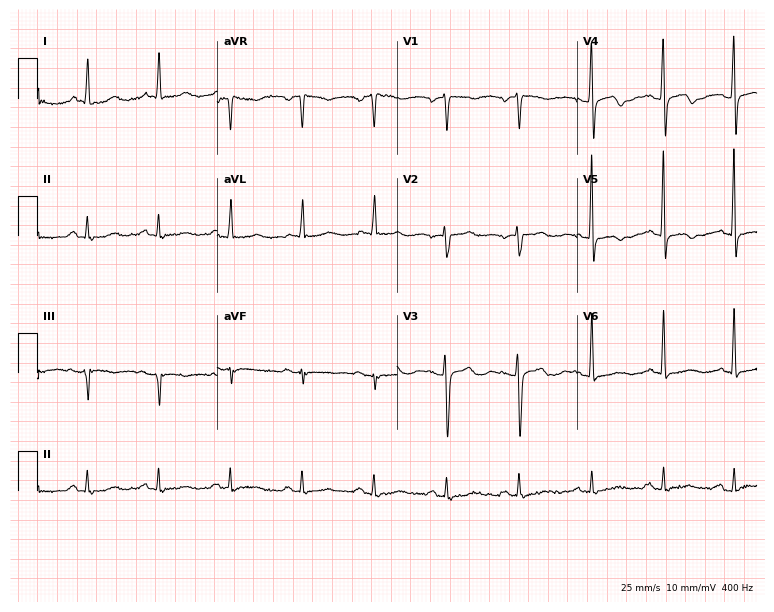
ECG (7.3-second recording at 400 Hz) — a female patient, 82 years old. Screened for six findings — first-degree AV block, right bundle branch block (RBBB), left bundle branch block (LBBB), sinus bradycardia, atrial fibrillation (AF), sinus tachycardia — none is recorded.